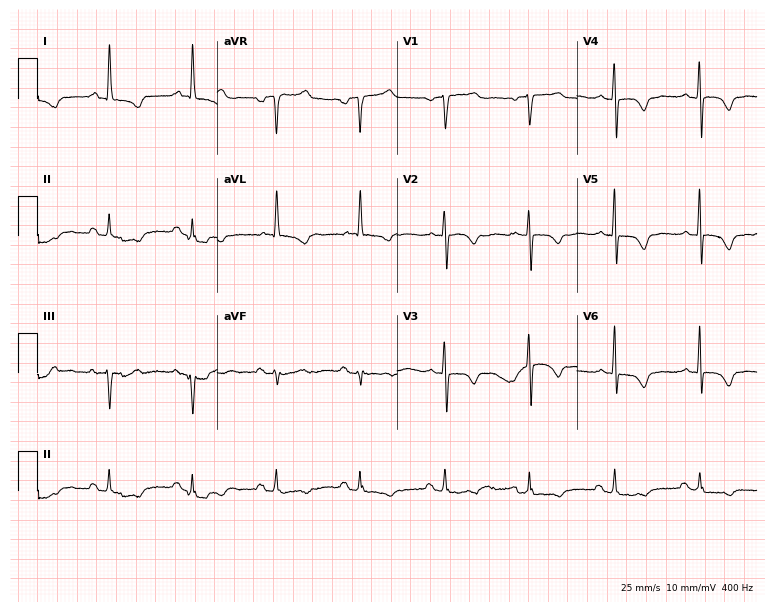
Standard 12-lead ECG recorded from a female patient, 73 years old. None of these six findings is recorded: first-degree AV block, right bundle branch block (RBBB), left bundle branch block (LBBB), sinus bradycardia, atrial fibrillation (AF), sinus tachycardia. Findings outside these six are not listed.